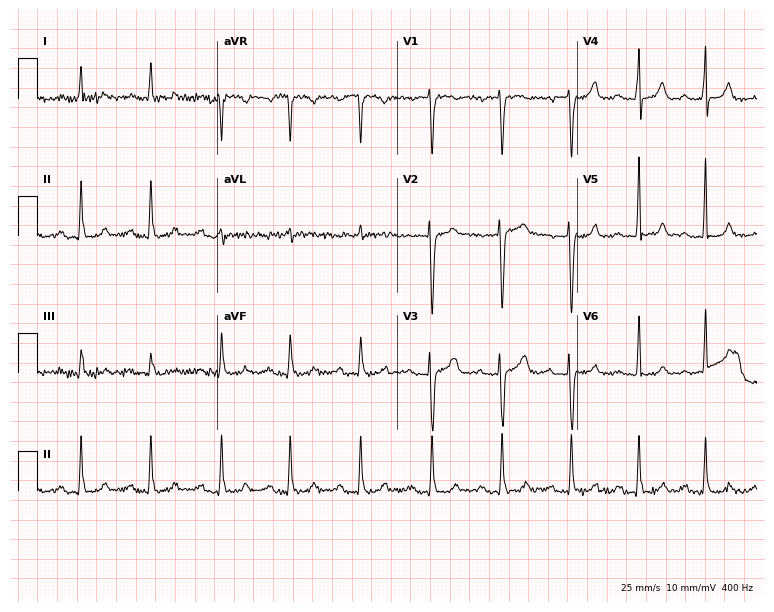
ECG (7.3-second recording at 400 Hz) — a 34-year-old man. Findings include first-degree AV block.